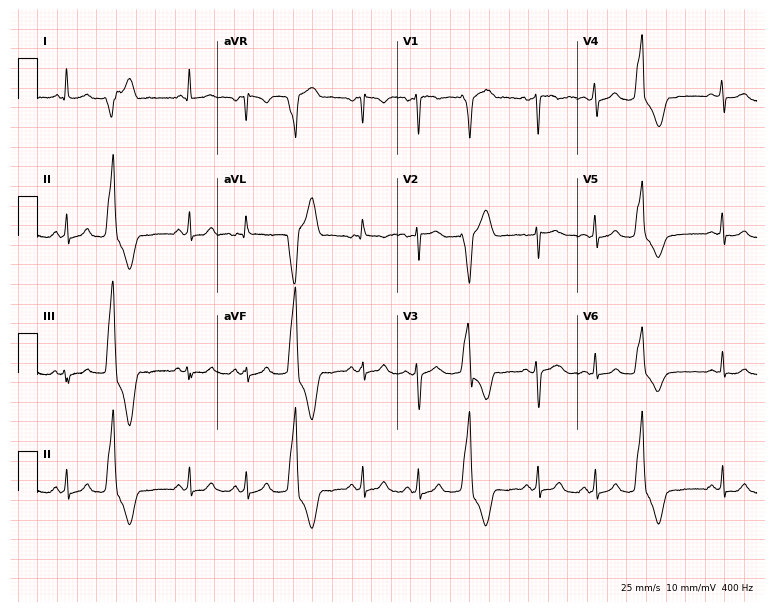
12-lead ECG from a 31-year-old female. Shows sinus tachycardia (a sinus rate of 100 beats per minute or more).